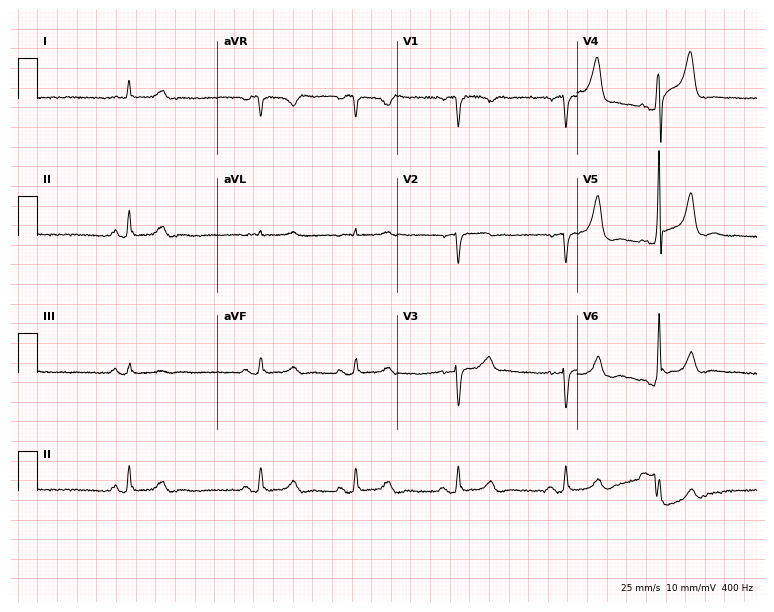
Standard 12-lead ECG recorded from a male patient, 70 years old (7.3-second recording at 400 Hz). None of these six findings is recorded: first-degree AV block, right bundle branch block, left bundle branch block, sinus bradycardia, atrial fibrillation, sinus tachycardia.